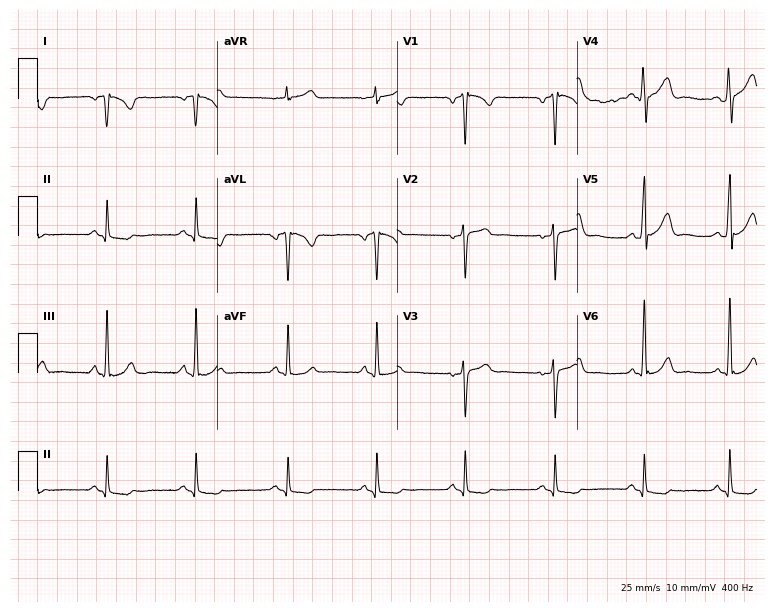
12-lead ECG from a male, 49 years old (7.3-second recording at 400 Hz). No first-degree AV block, right bundle branch block (RBBB), left bundle branch block (LBBB), sinus bradycardia, atrial fibrillation (AF) or sinus tachycardia recorded for this tracing. Only these six findings were labelled.